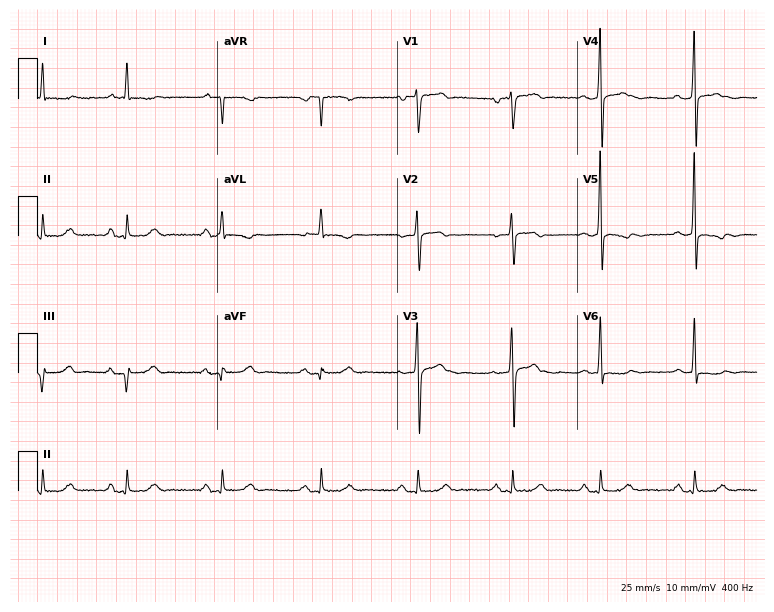
ECG (7.3-second recording at 400 Hz) — a man, 69 years old. Screened for six findings — first-degree AV block, right bundle branch block (RBBB), left bundle branch block (LBBB), sinus bradycardia, atrial fibrillation (AF), sinus tachycardia — none is recorded.